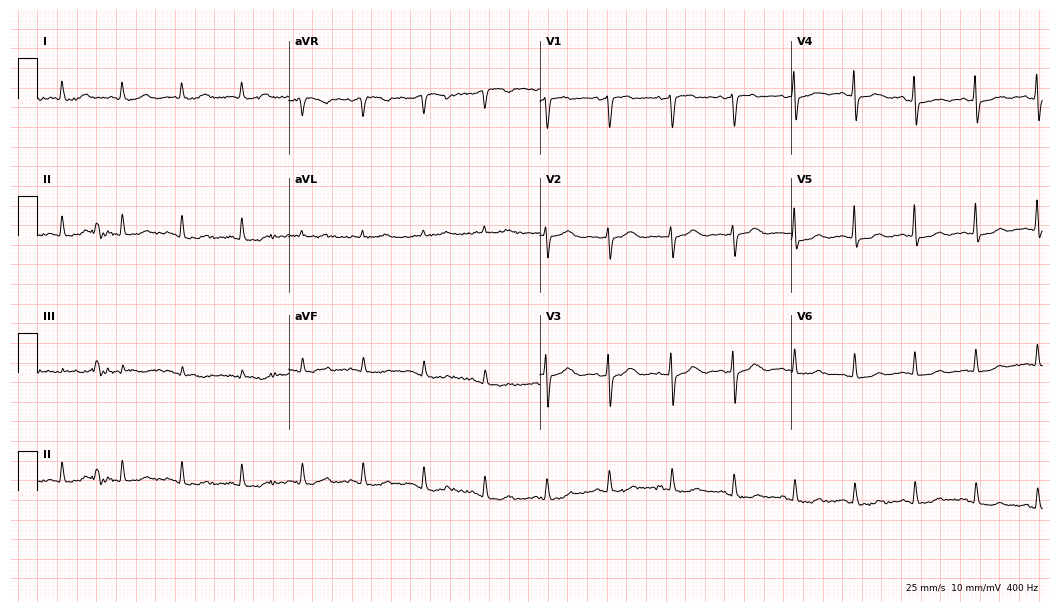
Resting 12-lead electrocardiogram. Patient: a 64-year-old woman. None of these six findings is recorded: first-degree AV block, right bundle branch block, left bundle branch block, sinus bradycardia, atrial fibrillation, sinus tachycardia.